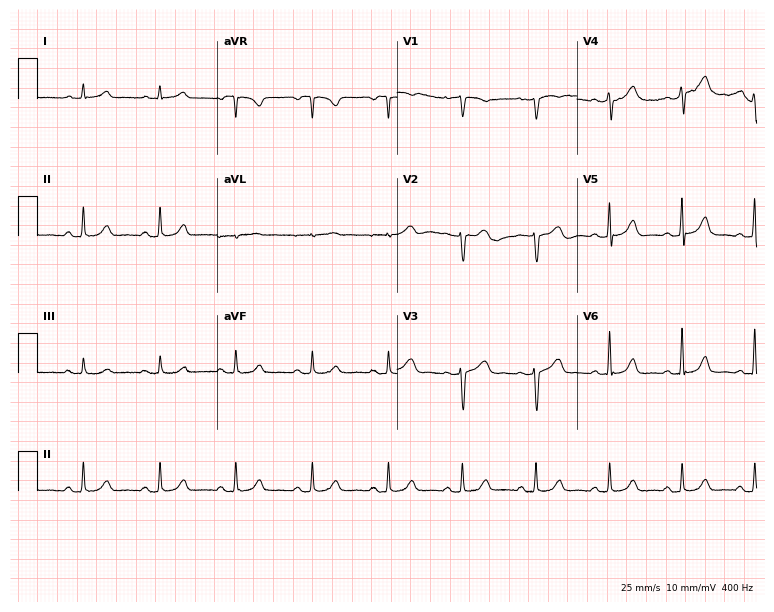
Standard 12-lead ECG recorded from a female patient, 36 years old. None of these six findings is recorded: first-degree AV block, right bundle branch block, left bundle branch block, sinus bradycardia, atrial fibrillation, sinus tachycardia.